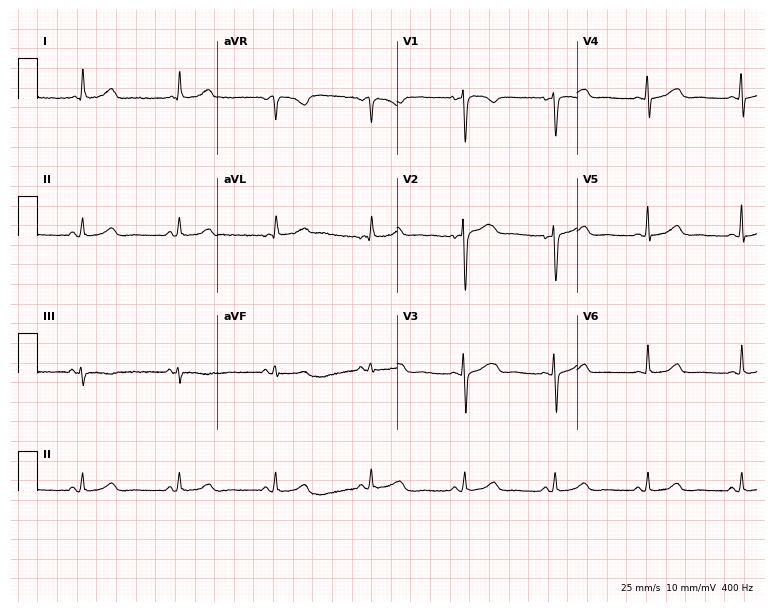
12-lead ECG from a 47-year-old female (7.3-second recording at 400 Hz). Recorded interpretation: within normal limits.